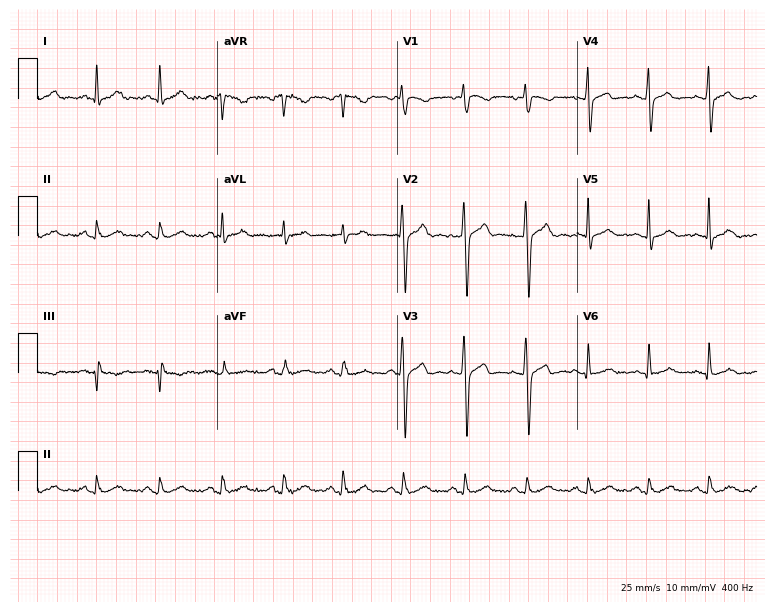
Standard 12-lead ECG recorded from a 39-year-old male (7.3-second recording at 400 Hz). Read as a normal ECG.